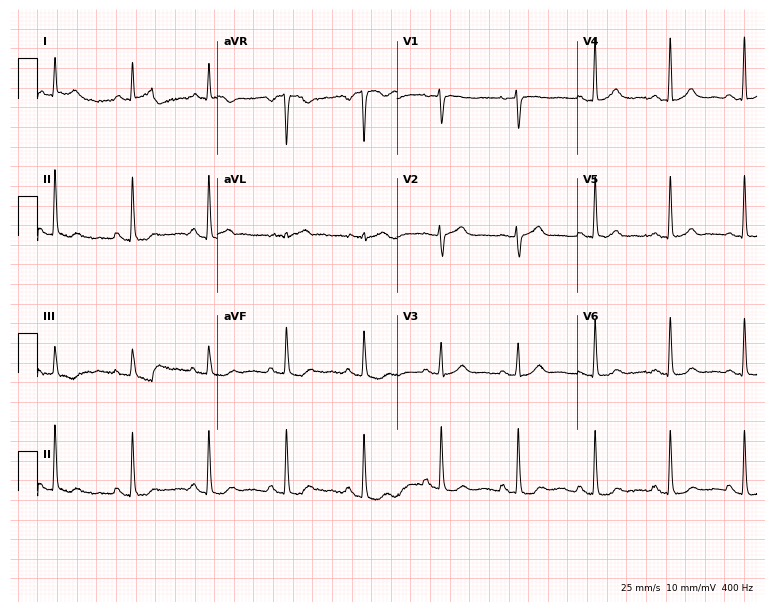
Resting 12-lead electrocardiogram (7.3-second recording at 400 Hz). Patient: a woman, 60 years old. Read as a normal ECG.